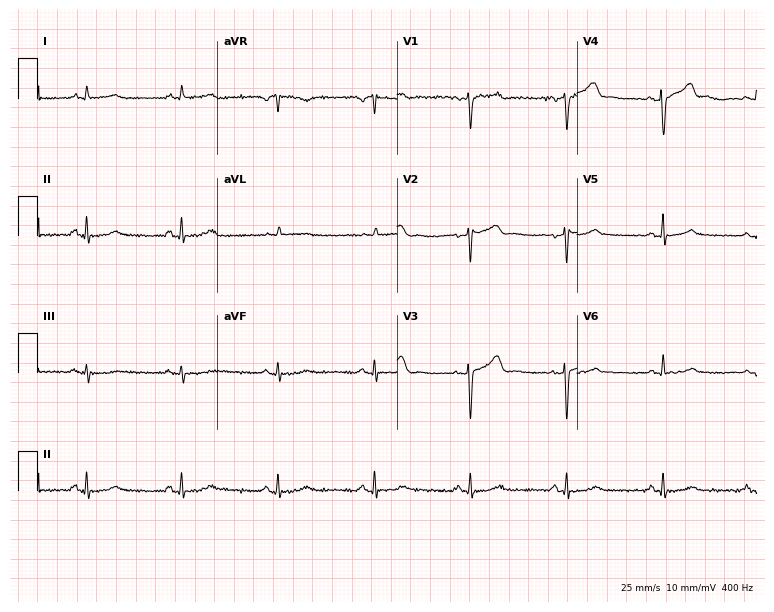
12-lead ECG from a 42-year-old female patient. Screened for six findings — first-degree AV block, right bundle branch block, left bundle branch block, sinus bradycardia, atrial fibrillation, sinus tachycardia — none is recorded.